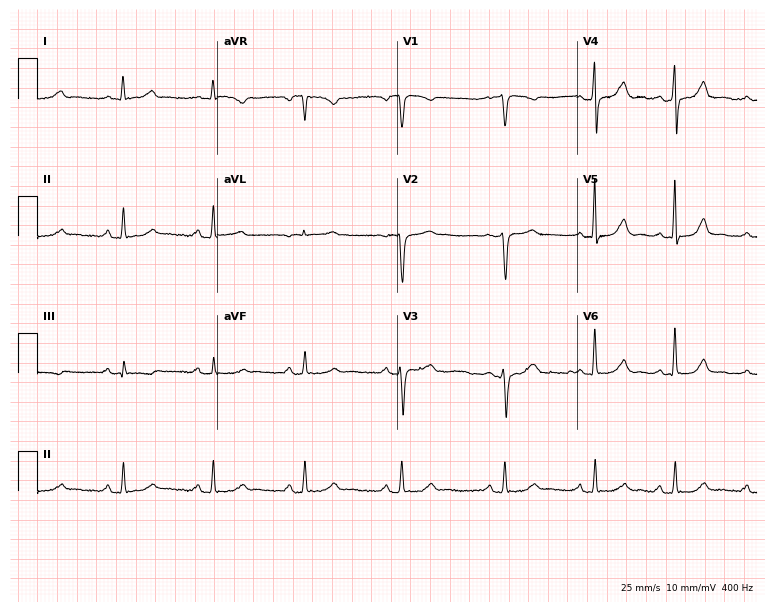
Standard 12-lead ECG recorded from a 50-year-old female patient (7.3-second recording at 400 Hz). Read as a normal ECG.